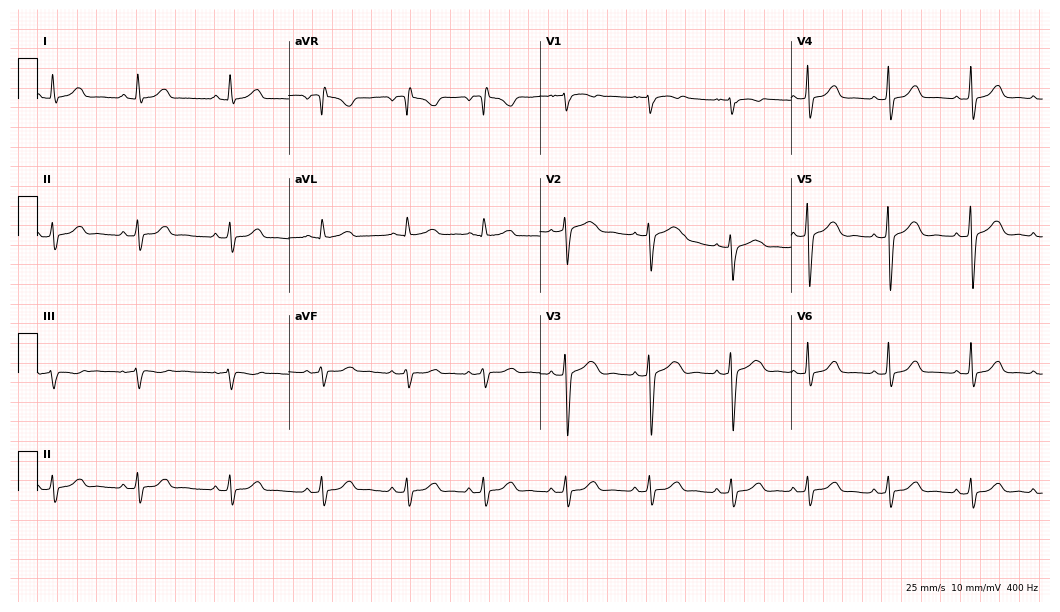
Standard 12-lead ECG recorded from a female patient, 33 years old (10.2-second recording at 400 Hz). Read as a normal ECG.